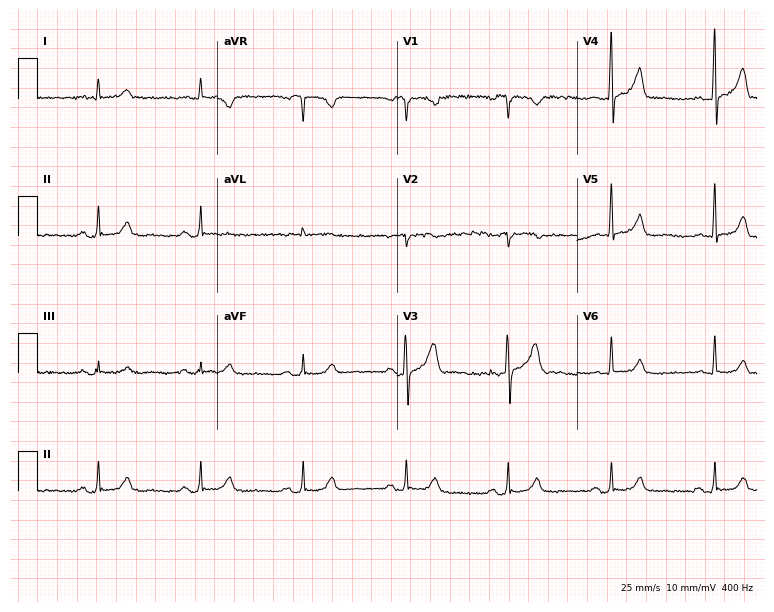
Standard 12-lead ECG recorded from a male patient, 56 years old. None of these six findings is recorded: first-degree AV block, right bundle branch block (RBBB), left bundle branch block (LBBB), sinus bradycardia, atrial fibrillation (AF), sinus tachycardia. Only these six findings were labelled.